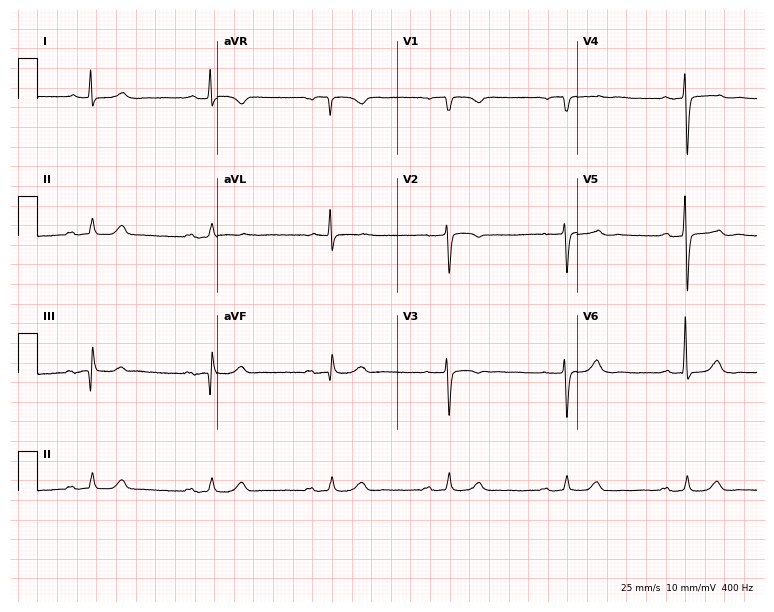
12-lead ECG from a 74-year-old male patient. Shows first-degree AV block, right bundle branch block (RBBB).